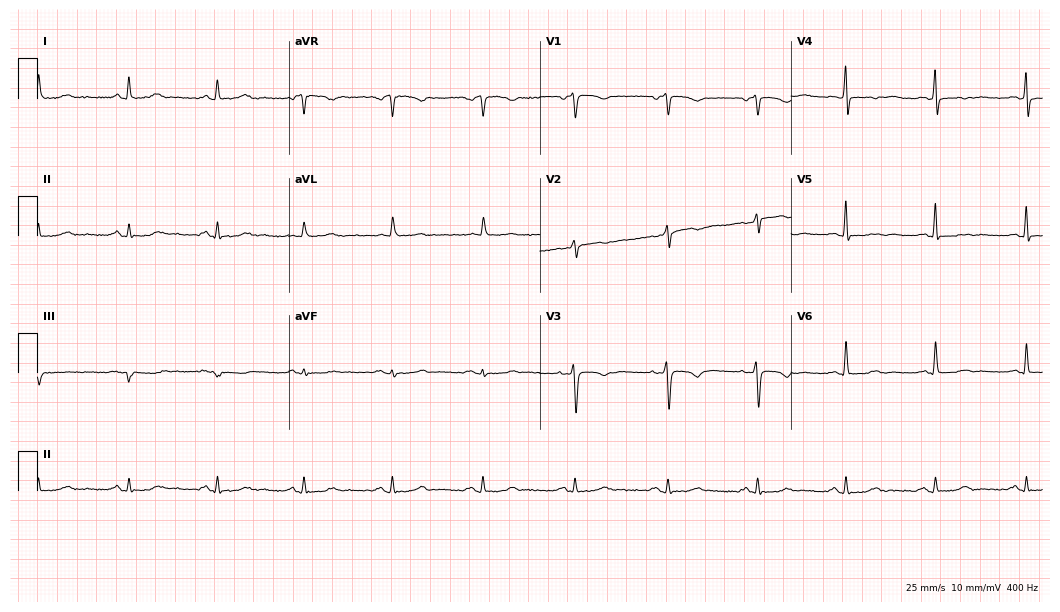
12-lead ECG from a female, 68 years old. Screened for six findings — first-degree AV block, right bundle branch block, left bundle branch block, sinus bradycardia, atrial fibrillation, sinus tachycardia — none is recorded.